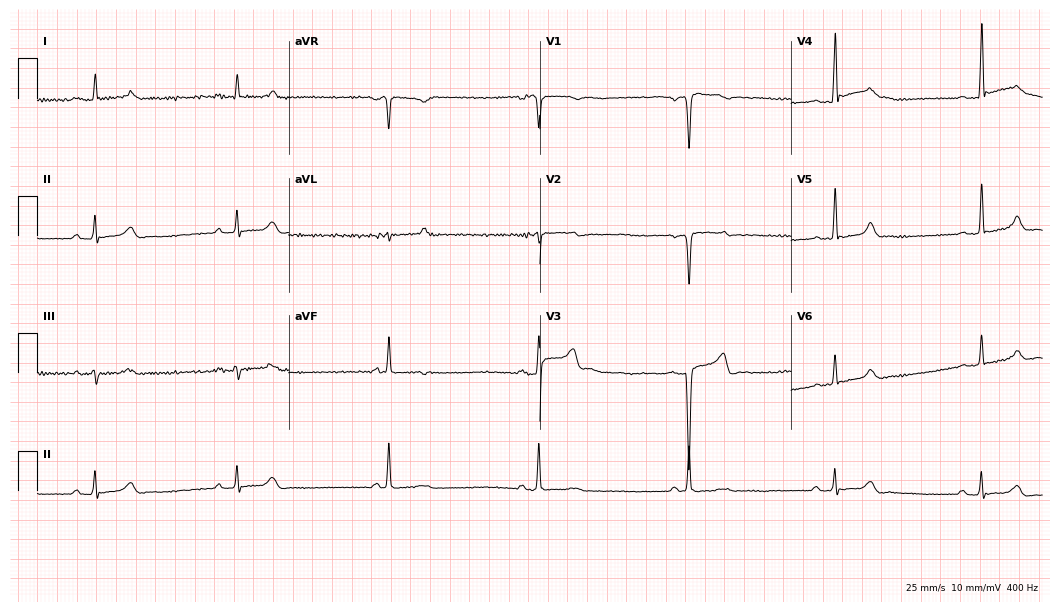
Standard 12-lead ECG recorded from a 29-year-old male patient (10.2-second recording at 400 Hz). The tracing shows sinus bradycardia (a sinus rate of 50 beats per minute or less).